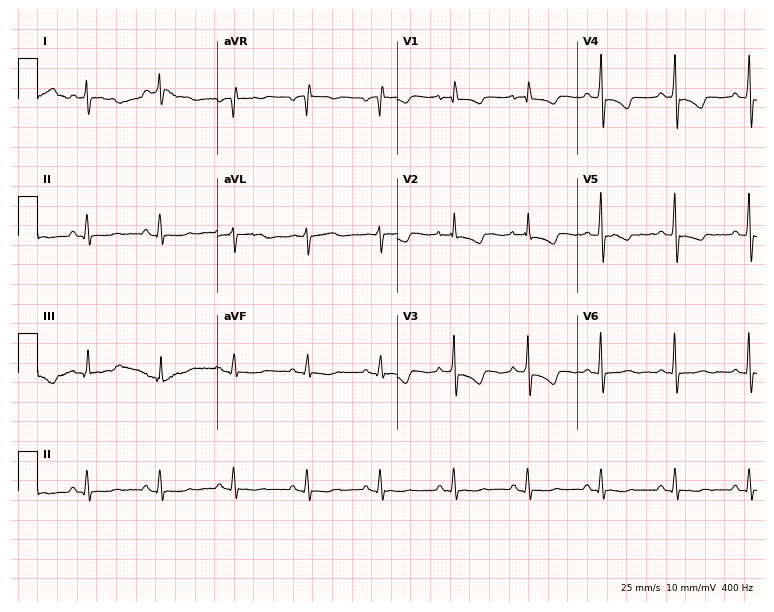
ECG (7.3-second recording at 400 Hz) — a female, 40 years old. Screened for six findings — first-degree AV block, right bundle branch block, left bundle branch block, sinus bradycardia, atrial fibrillation, sinus tachycardia — none is recorded.